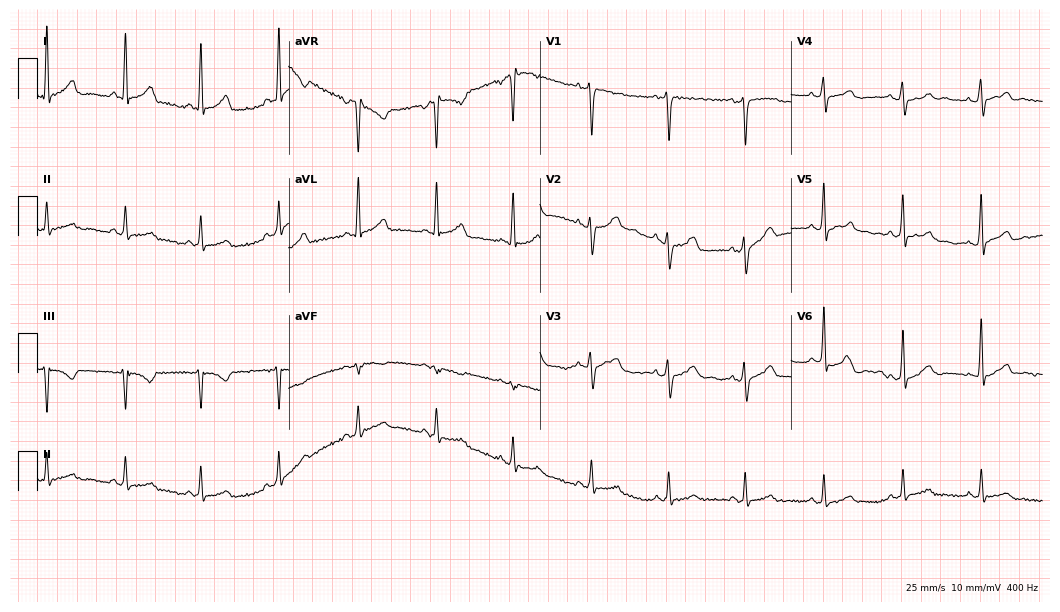
Resting 12-lead electrocardiogram. Patient: a 39-year-old female. None of these six findings is recorded: first-degree AV block, right bundle branch block, left bundle branch block, sinus bradycardia, atrial fibrillation, sinus tachycardia.